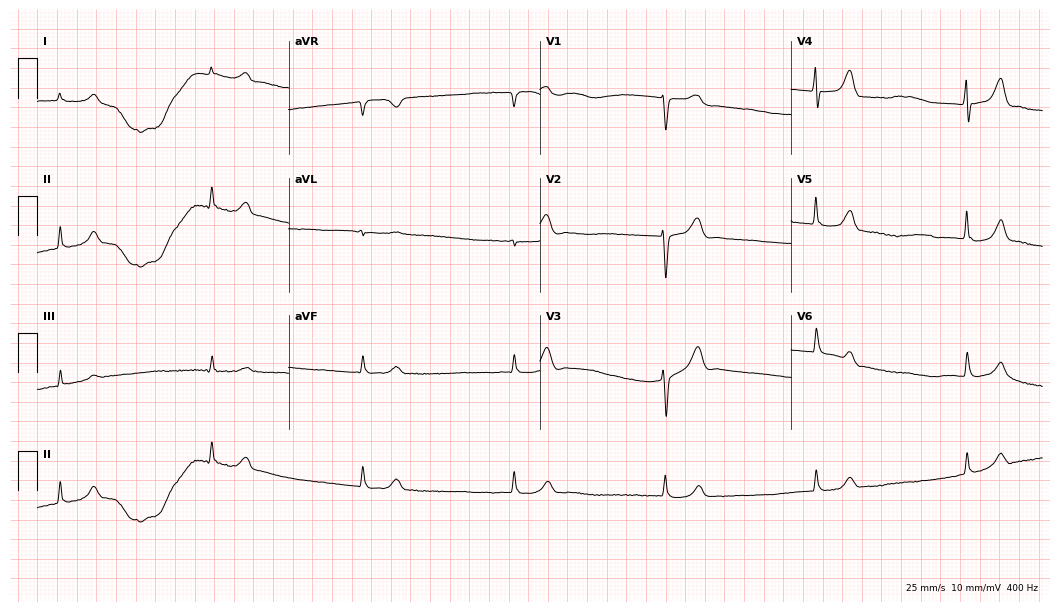
Standard 12-lead ECG recorded from a female, 78 years old (10.2-second recording at 400 Hz). None of these six findings is recorded: first-degree AV block, right bundle branch block (RBBB), left bundle branch block (LBBB), sinus bradycardia, atrial fibrillation (AF), sinus tachycardia.